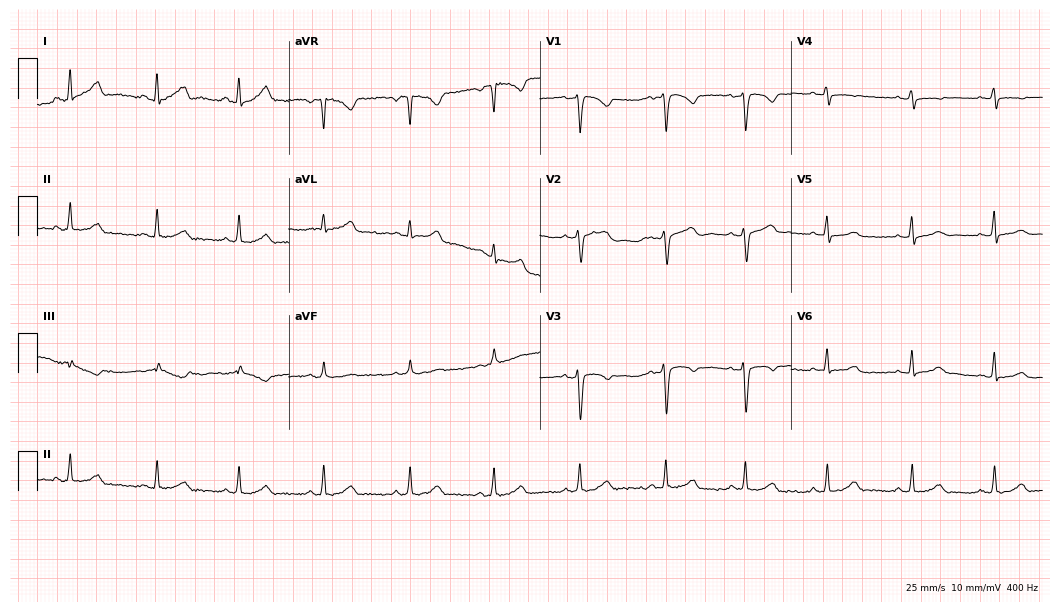
ECG (10.2-second recording at 400 Hz) — a 40-year-old woman. Labelled as a normal ECG.